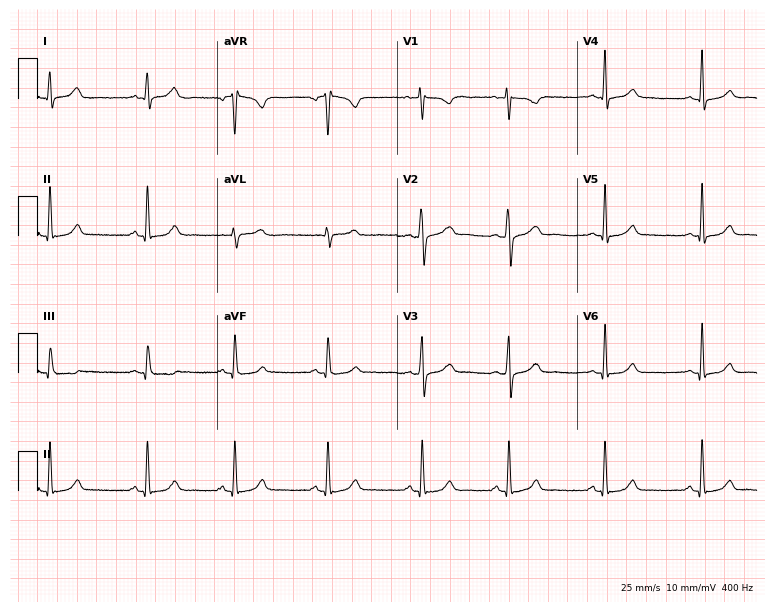
12-lead ECG from a female, 22 years old (7.3-second recording at 400 Hz). No first-degree AV block, right bundle branch block (RBBB), left bundle branch block (LBBB), sinus bradycardia, atrial fibrillation (AF) or sinus tachycardia recorded for this tracing.